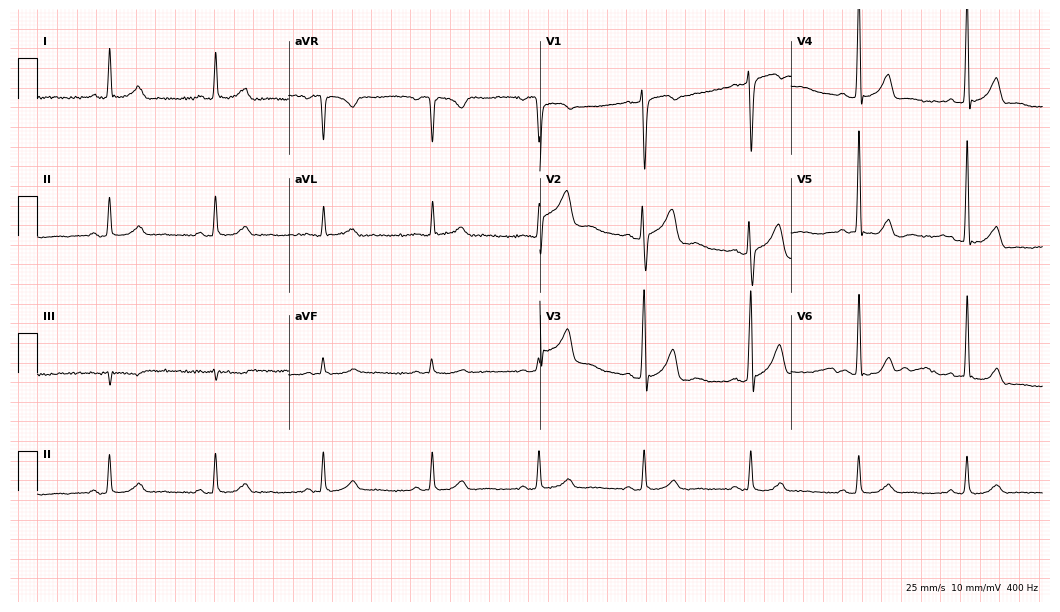
Electrocardiogram, a man, 54 years old. Overall reading on record: normal ECG.